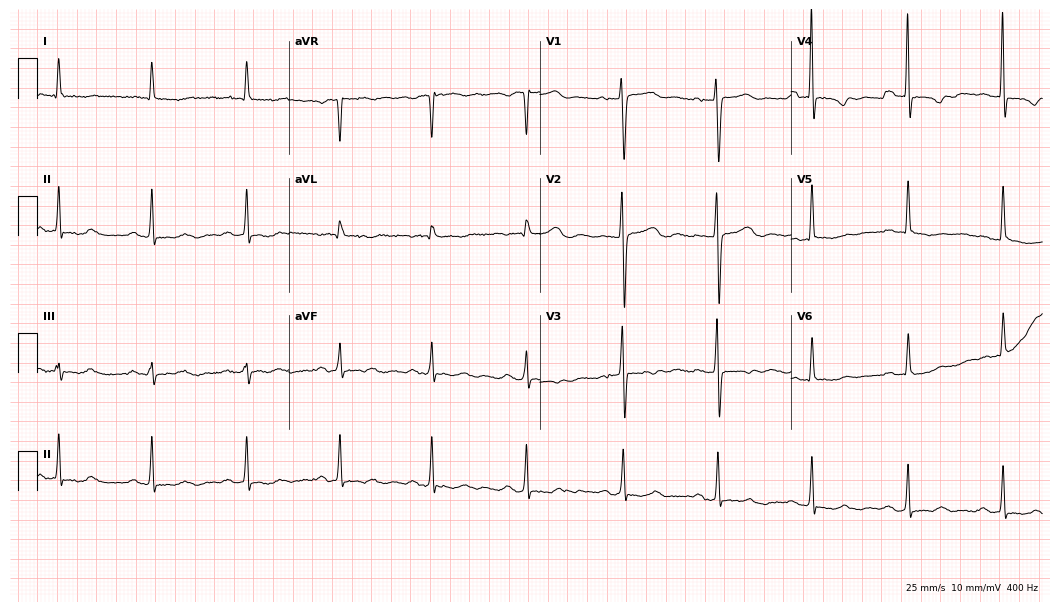
12-lead ECG (10.2-second recording at 400 Hz) from a 75-year-old woman. Screened for six findings — first-degree AV block, right bundle branch block, left bundle branch block, sinus bradycardia, atrial fibrillation, sinus tachycardia — none is recorded.